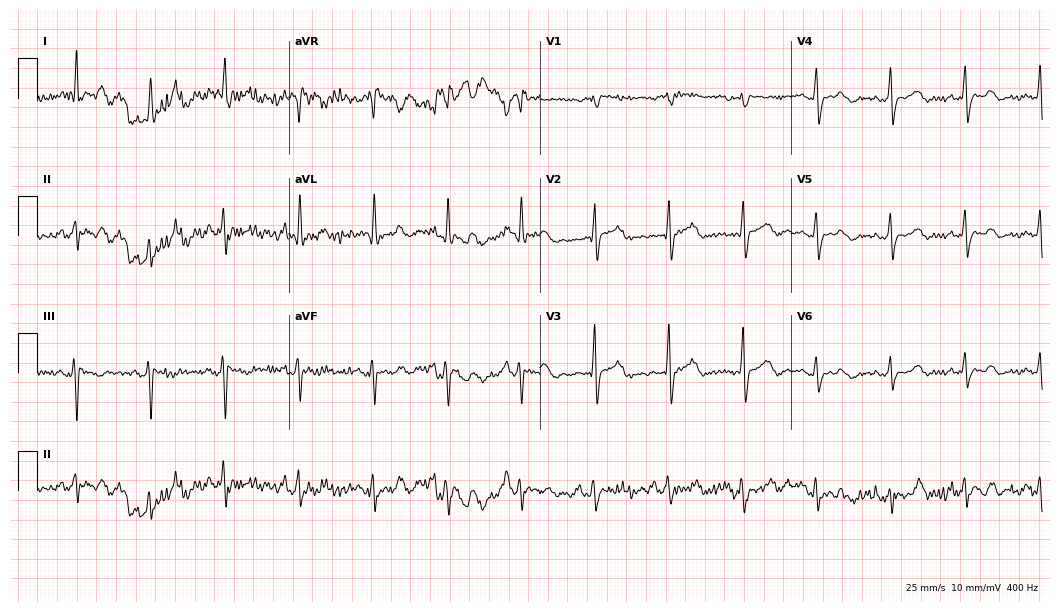
ECG (10.2-second recording at 400 Hz) — a 59-year-old female. Screened for six findings — first-degree AV block, right bundle branch block, left bundle branch block, sinus bradycardia, atrial fibrillation, sinus tachycardia — none is recorded. Only these six findings were labelled.